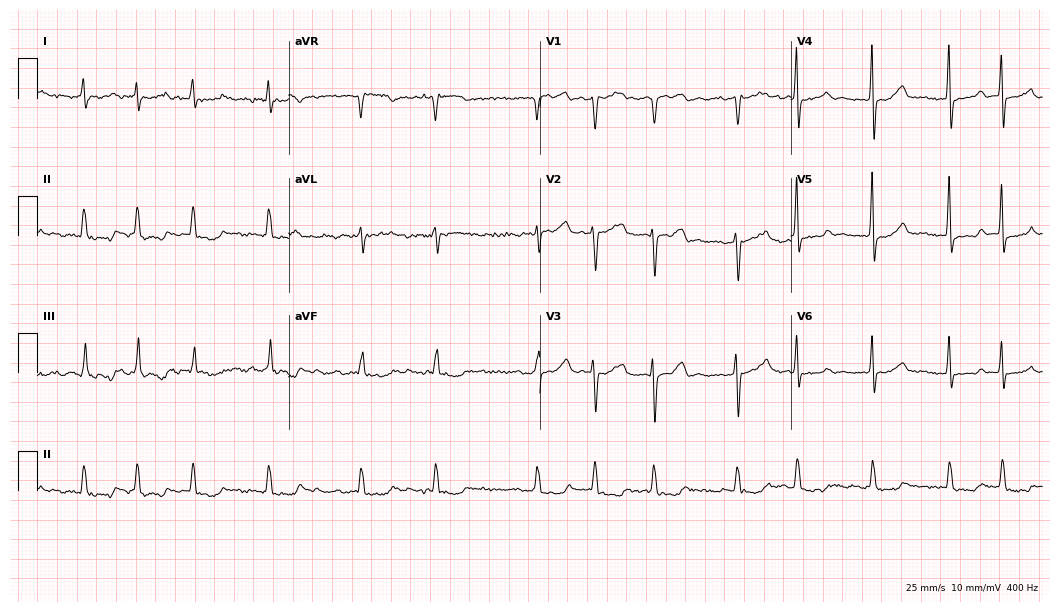
Resting 12-lead electrocardiogram (10.2-second recording at 400 Hz). Patient: a 76-year-old female. The tracing shows atrial fibrillation.